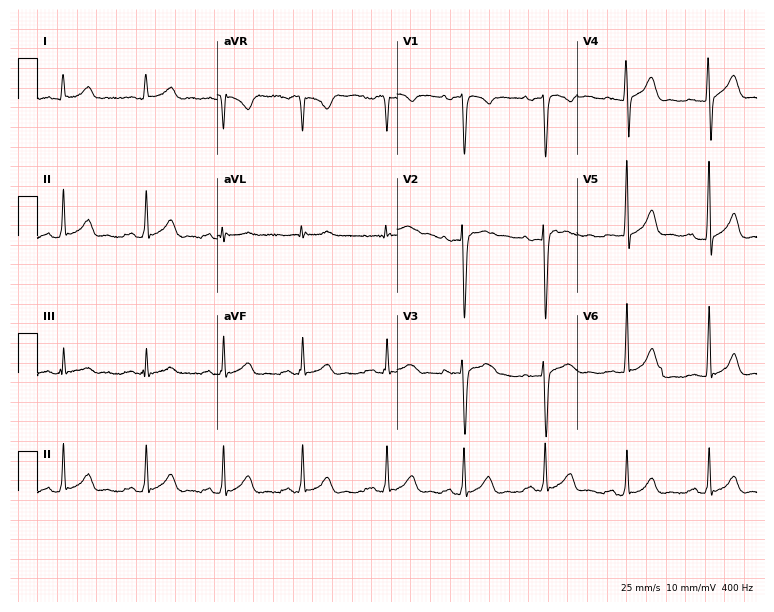
Standard 12-lead ECG recorded from a male, 22 years old (7.3-second recording at 400 Hz). Read as a normal ECG.